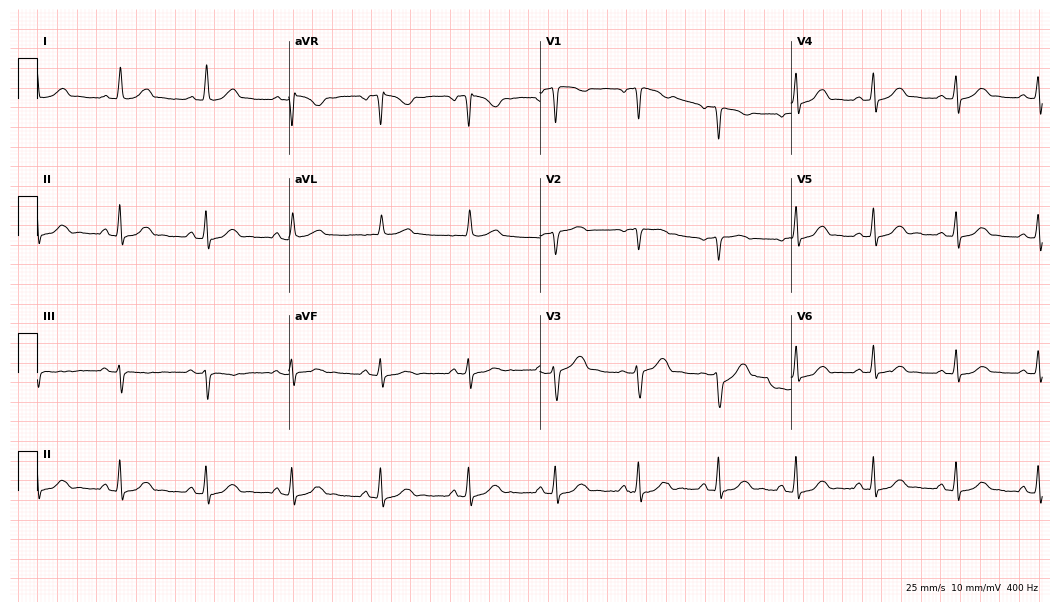
Resting 12-lead electrocardiogram. Patient: a 45-year-old female. Read as a normal ECG.